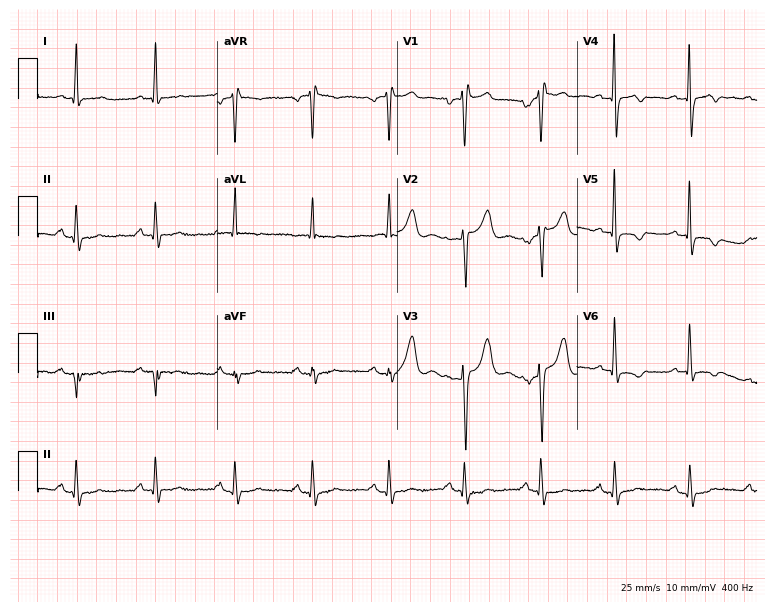
12-lead ECG from a 47-year-old male. Screened for six findings — first-degree AV block, right bundle branch block, left bundle branch block, sinus bradycardia, atrial fibrillation, sinus tachycardia — none is recorded.